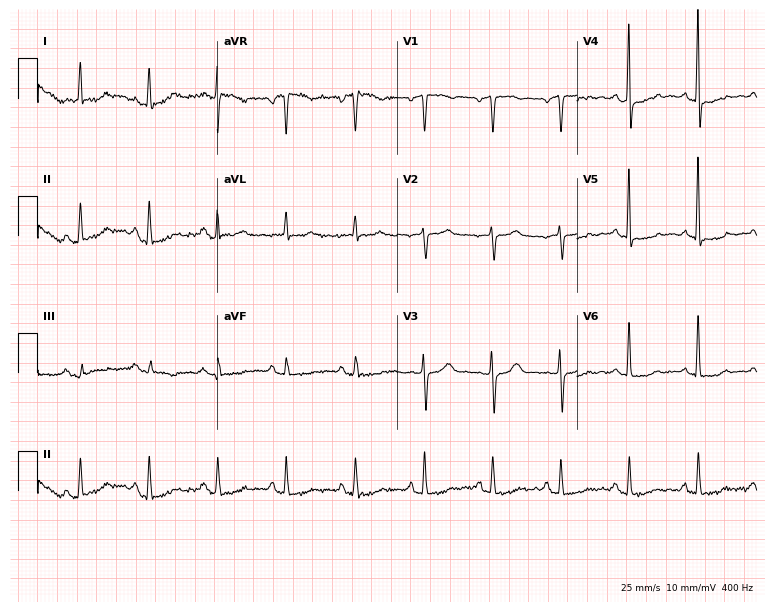
12-lead ECG (7.3-second recording at 400 Hz) from a 74-year-old woman. Screened for six findings — first-degree AV block, right bundle branch block, left bundle branch block, sinus bradycardia, atrial fibrillation, sinus tachycardia — none is recorded. Findings outside these six are not listed.